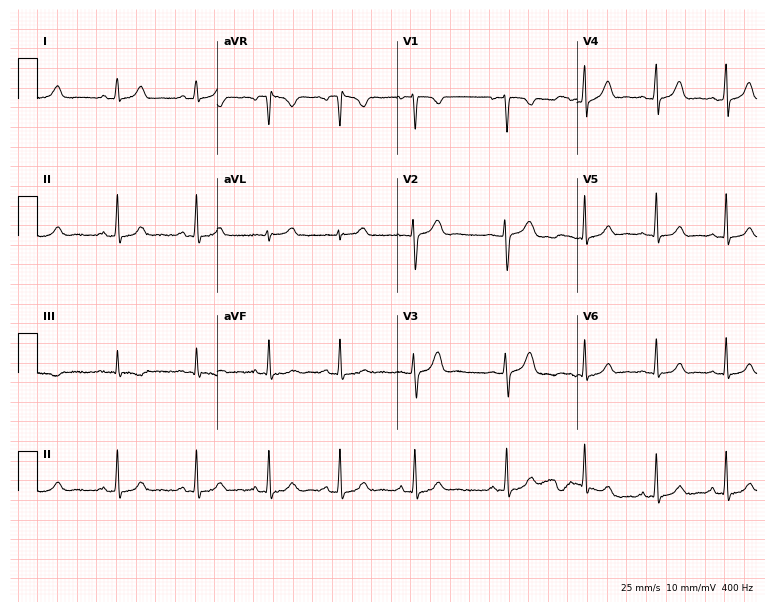
12-lead ECG from a 23-year-old woman. Recorded interpretation: within normal limits.